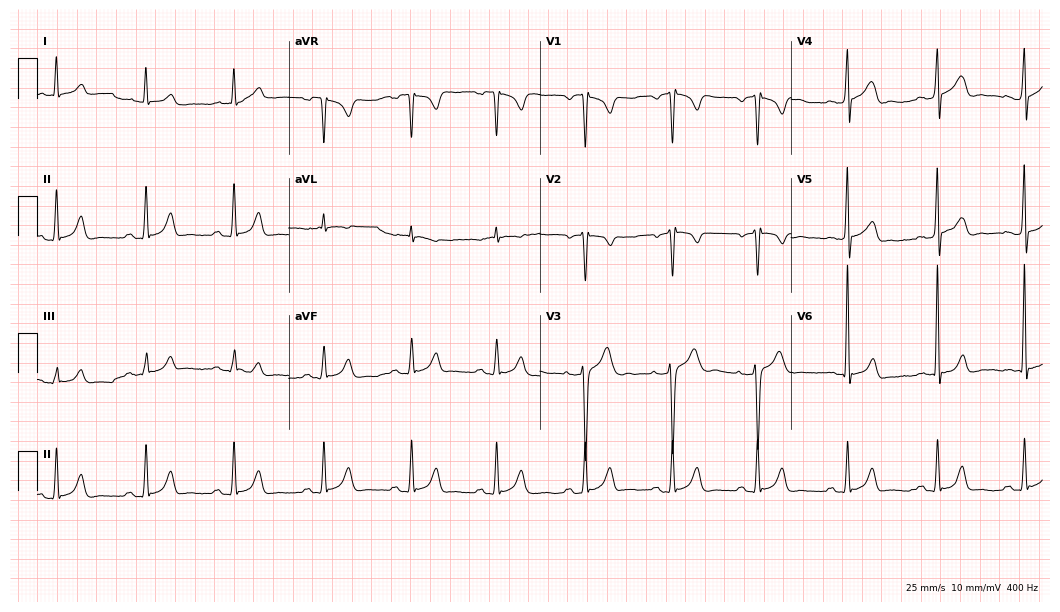
ECG (10.2-second recording at 400 Hz) — a male patient, 29 years old. Screened for six findings — first-degree AV block, right bundle branch block (RBBB), left bundle branch block (LBBB), sinus bradycardia, atrial fibrillation (AF), sinus tachycardia — none is recorded.